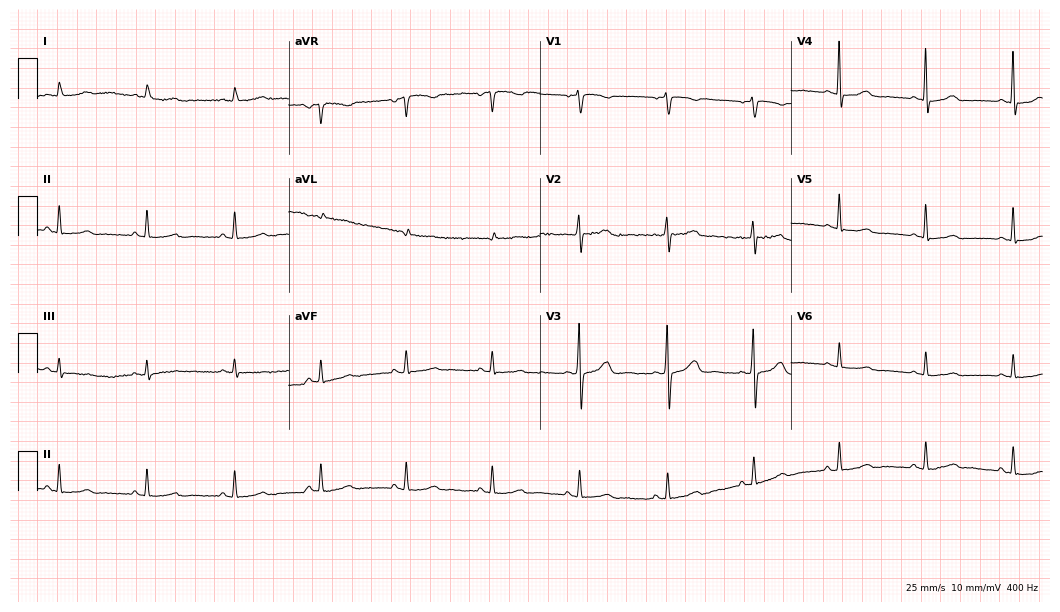
12-lead ECG from a 67-year-old female (10.2-second recording at 400 Hz). Recorded interpretation: within normal limits.